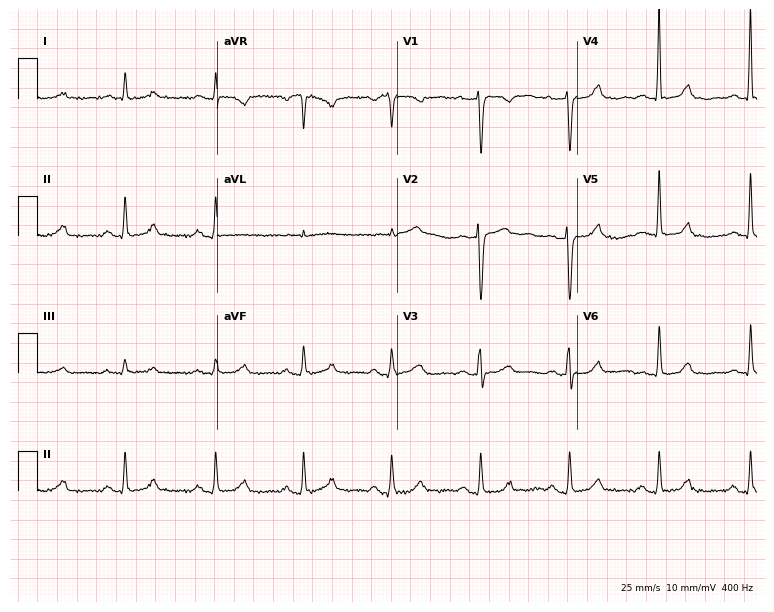
12-lead ECG from a 53-year-old female patient. Recorded interpretation: within normal limits.